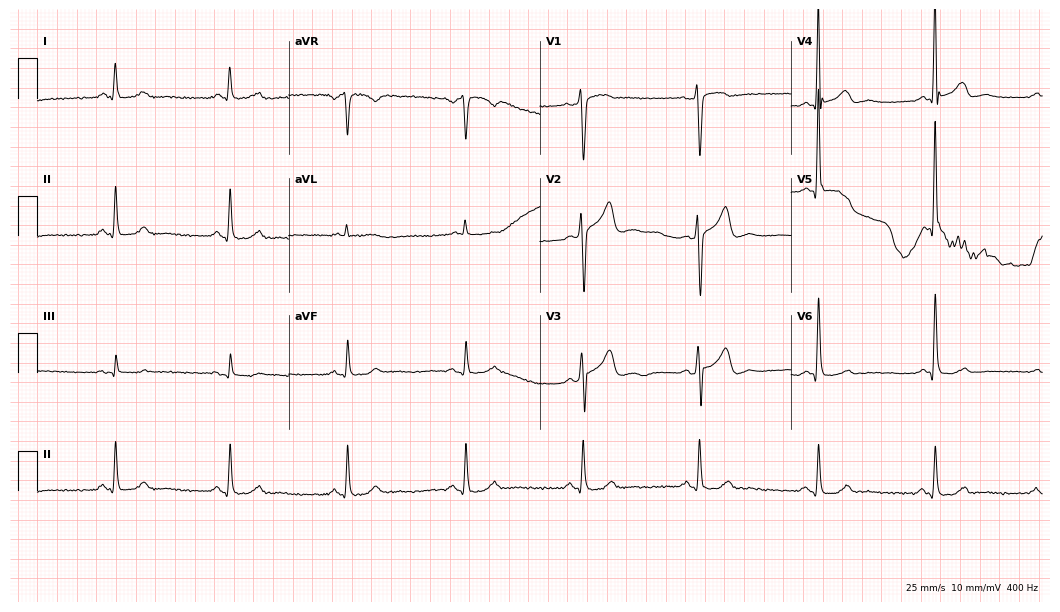
Electrocardiogram (10.2-second recording at 400 Hz), a man, 57 years old. Overall reading on record: normal ECG.